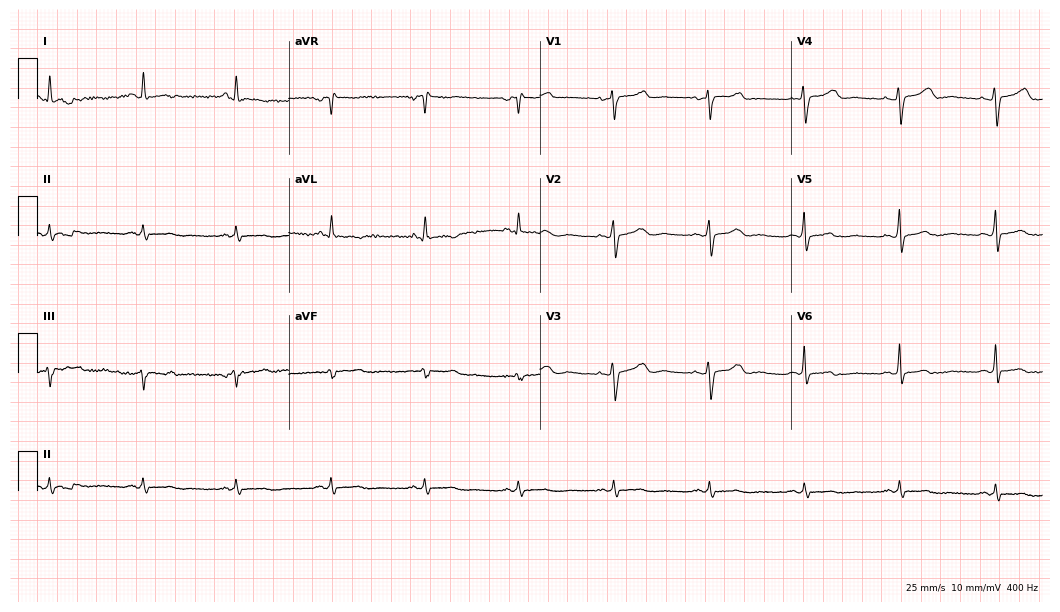
Resting 12-lead electrocardiogram (10.2-second recording at 400 Hz). Patient: a woman, 60 years old. None of these six findings is recorded: first-degree AV block, right bundle branch block (RBBB), left bundle branch block (LBBB), sinus bradycardia, atrial fibrillation (AF), sinus tachycardia. Findings outside these six are not listed.